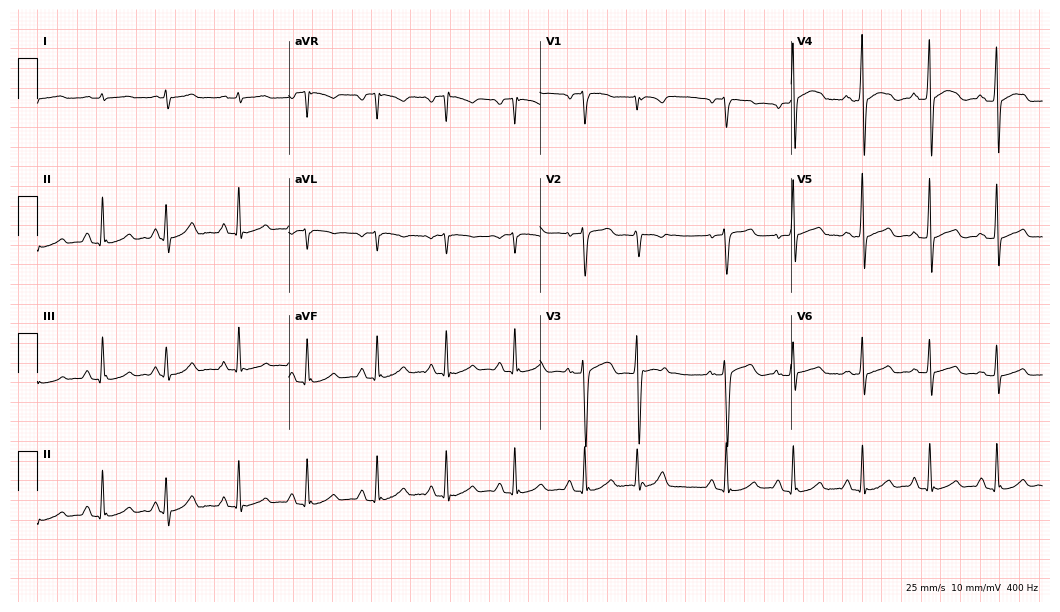
Electrocardiogram (10.2-second recording at 400 Hz), a man, 65 years old. Overall reading on record: normal ECG.